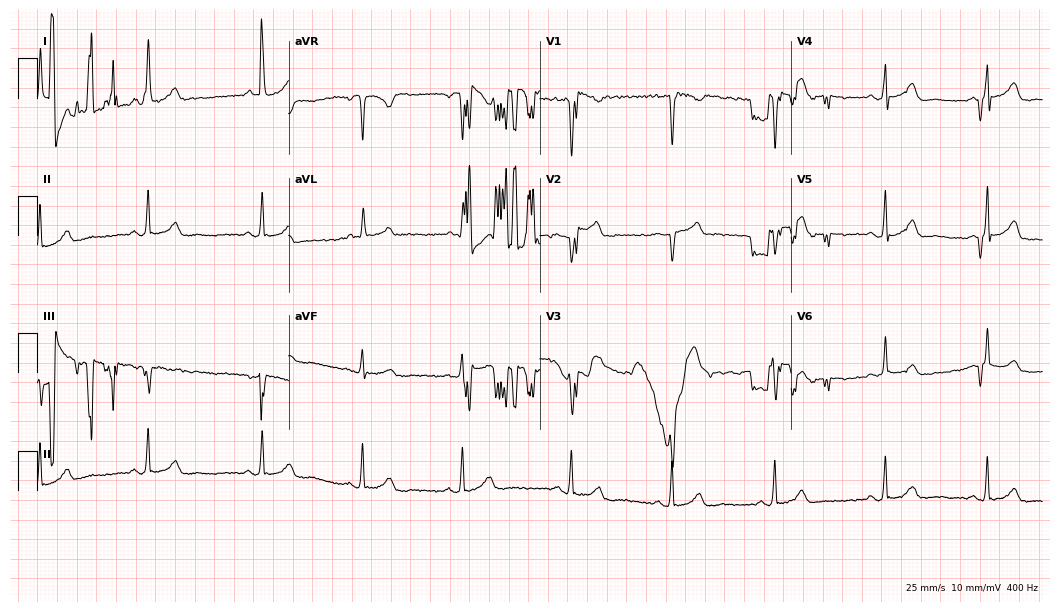
Resting 12-lead electrocardiogram (10.2-second recording at 400 Hz). Patient: a 62-year-old female. None of these six findings is recorded: first-degree AV block, right bundle branch block, left bundle branch block, sinus bradycardia, atrial fibrillation, sinus tachycardia. Other findings, if any, are not listed.